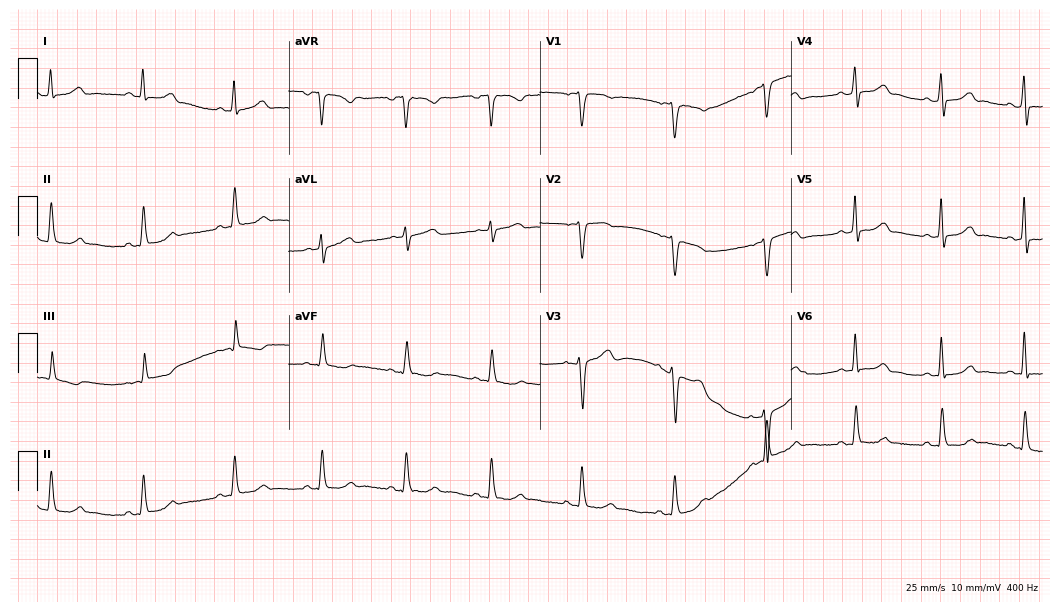
Electrocardiogram, a 35-year-old woman. Overall reading on record: normal ECG.